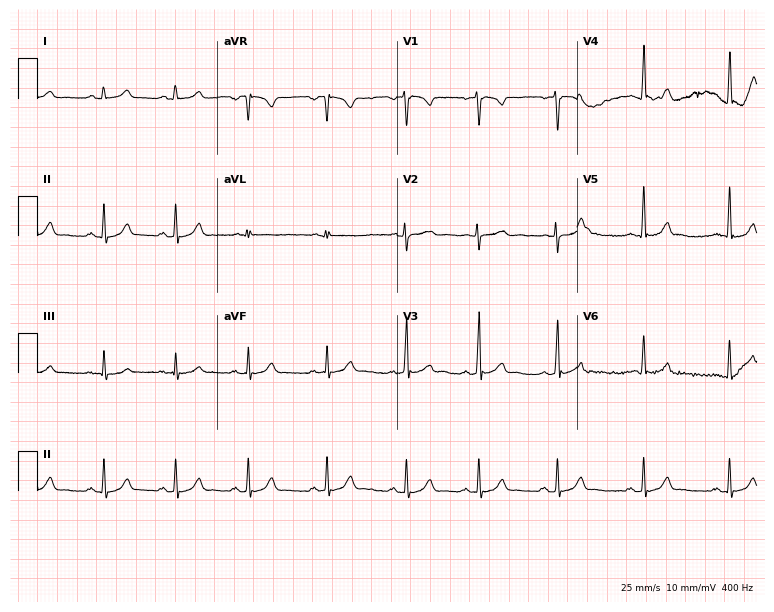
12-lead ECG from a female, 19 years old. Recorded interpretation: within normal limits.